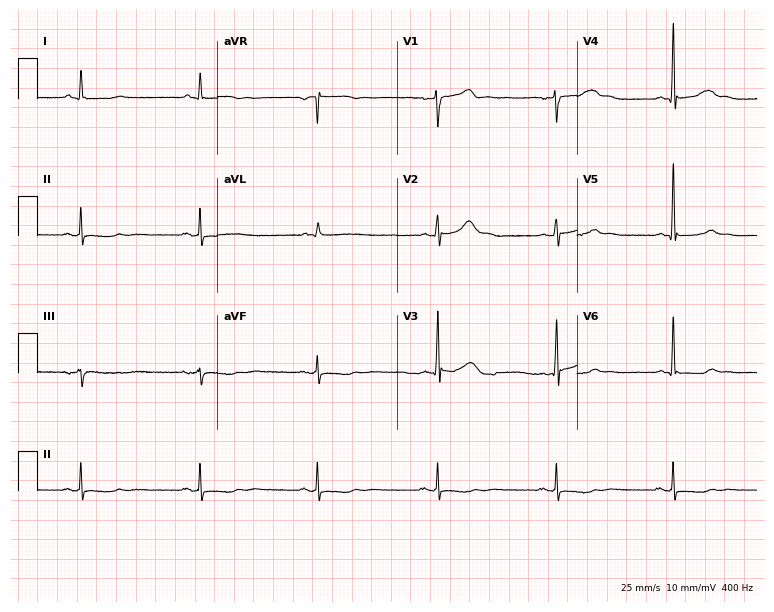
ECG — a man, 59 years old. Screened for six findings — first-degree AV block, right bundle branch block, left bundle branch block, sinus bradycardia, atrial fibrillation, sinus tachycardia — none is recorded.